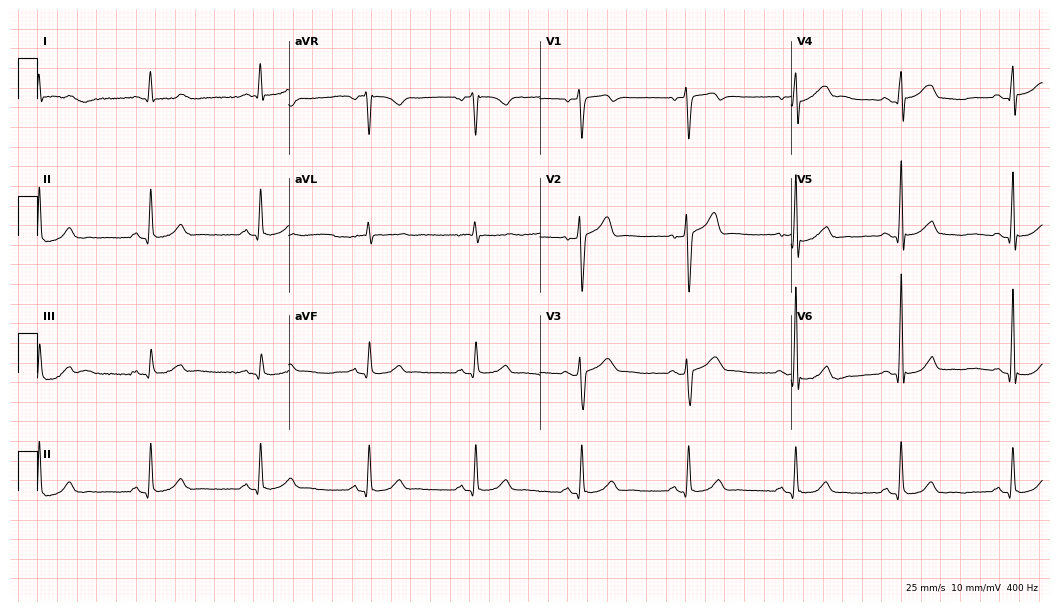
12-lead ECG from a 54-year-old man. Recorded interpretation: within normal limits.